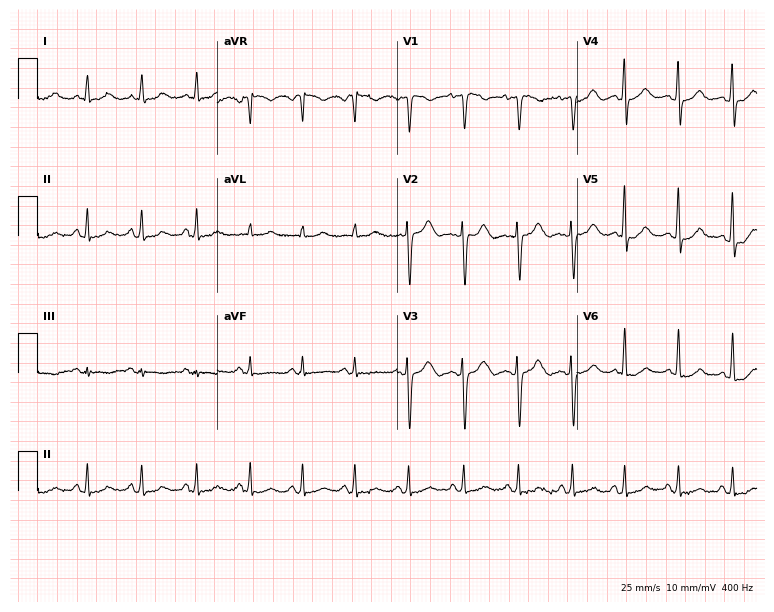
Electrocardiogram, a 38-year-old female. Of the six screened findings (first-degree AV block, right bundle branch block, left bundle branch block, sinus bradycardia, atrial fibrillation, sinus tachycardia), none is recorded.